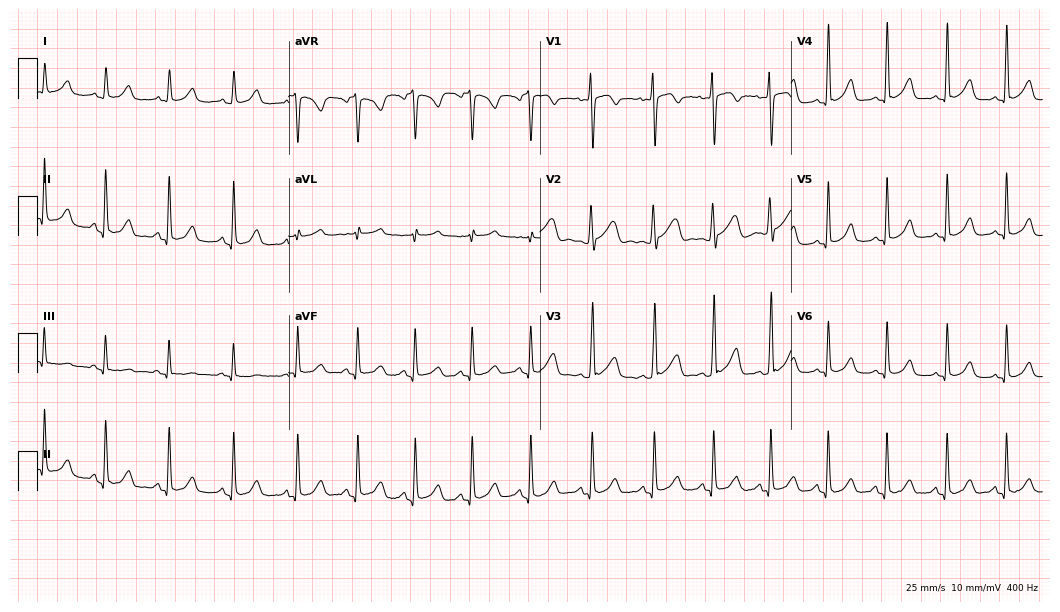
Electrocardiogram, a 21-year-old female patient. Overall reading on record: normal ECG.